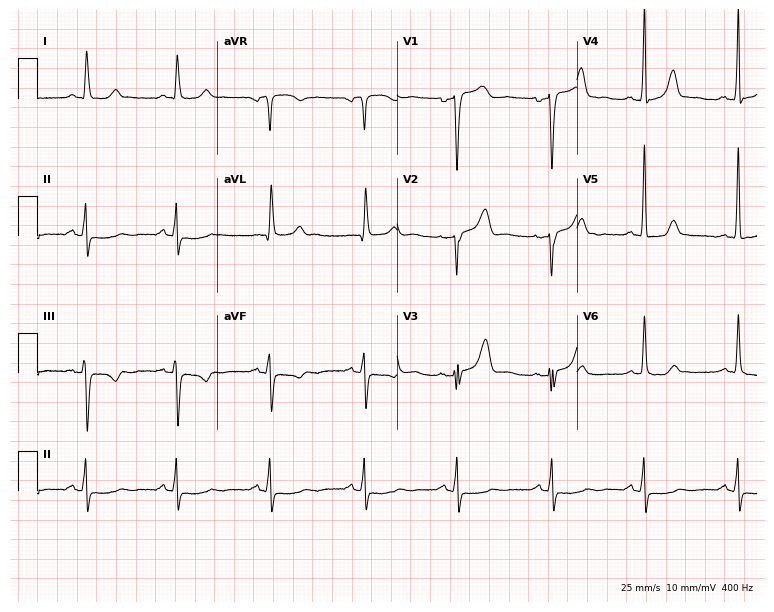
Resting 12-lead electrocardiogram (7.3-second recording at 400 Hz). Patient: a 72-year-old female. None of these six findings is recorded: first-degree AV block, right bundle branch block, left bundle branch block, sinus bradycardia, atrial fibrillation, sinus tachycardia. Findings outside these six are not listed.